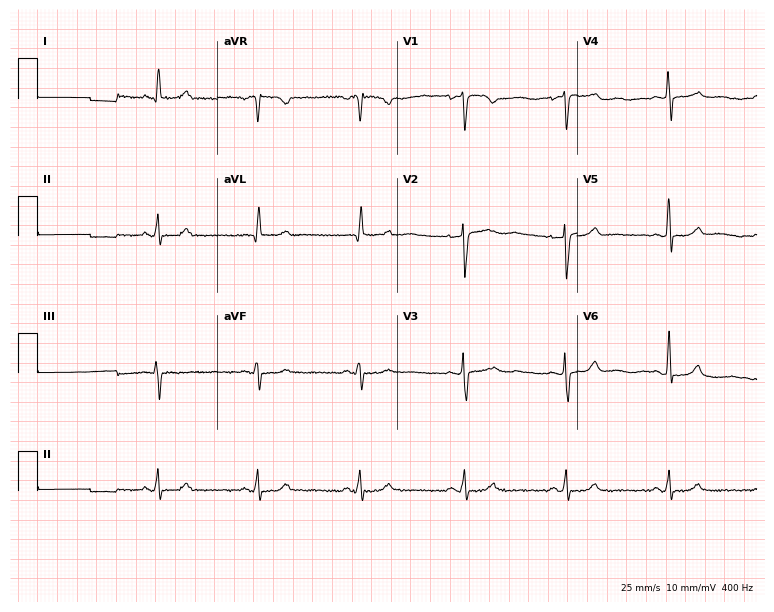
12-lead ECG from a woman, 41 years old (7.3-second recording at 400 Hz). No first-degree AV block, right bundle branch block, left bundle branch block, sinus bradycardia, atrial fibrillation or sinus tachycardia recorded for this tracing. Findings outside these six are not listed.